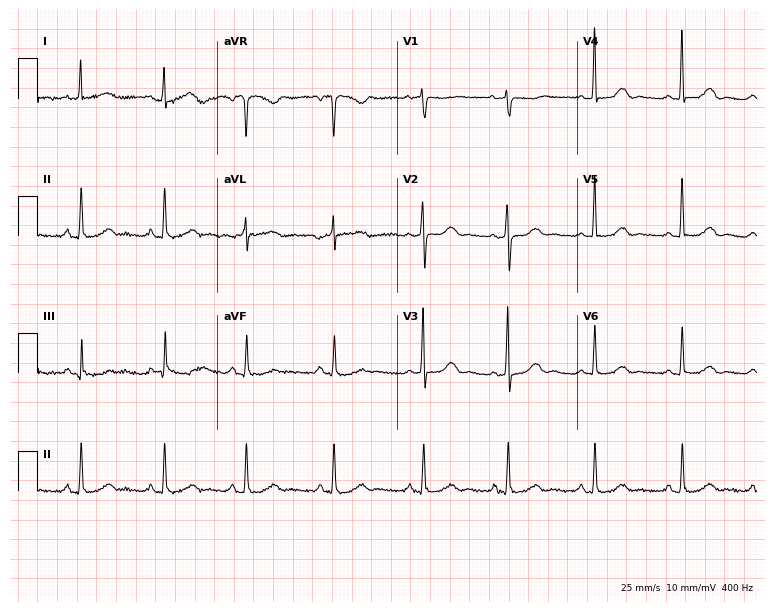
ECG (7.3-second recording at 400 Hz) — a 58-year-old female patient. Labelled as a normal ECG.